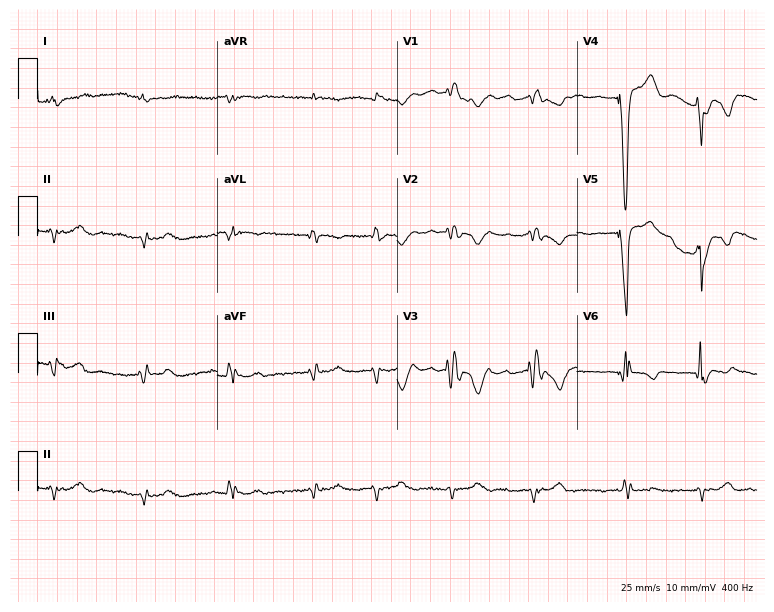
12-lead ECG from a 67-year-old man. Screened for six findings — first-degree AV block, right bundle branch block (RBBB), left bundle branch block (LBBB), sinus bradycardia, atrial fibrillation (AF), sinus tachycardia — none is recorded.